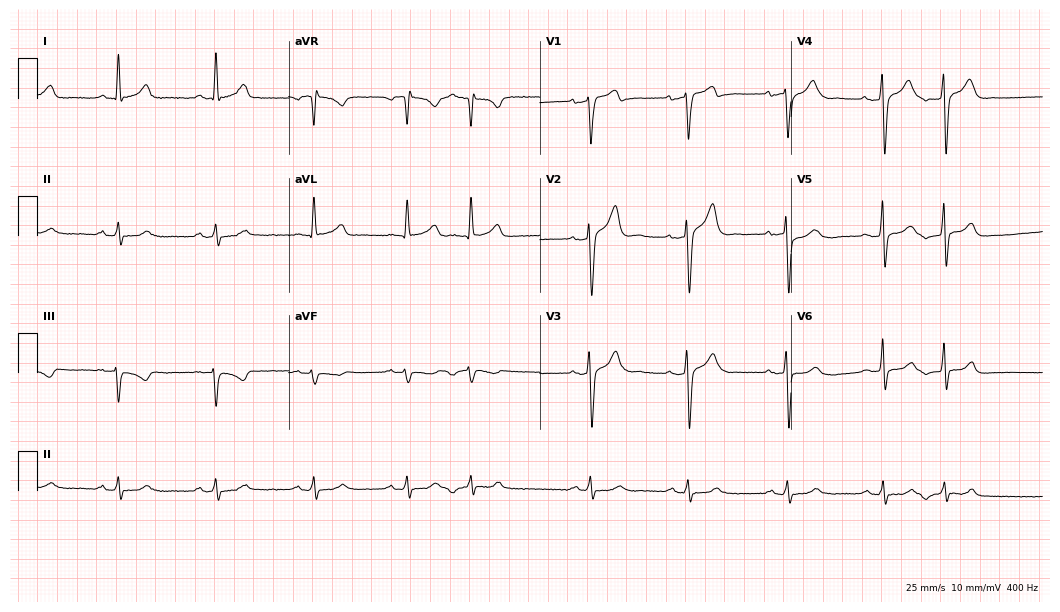
Standard 12-lead ECG recorded from a male patient, 53 years old. None of these six findings is recorded: first-degree AV block, right bundle branch block, left bundle branch block, sinus bradycardia, atrial fibrillation, sinus tachycardia.